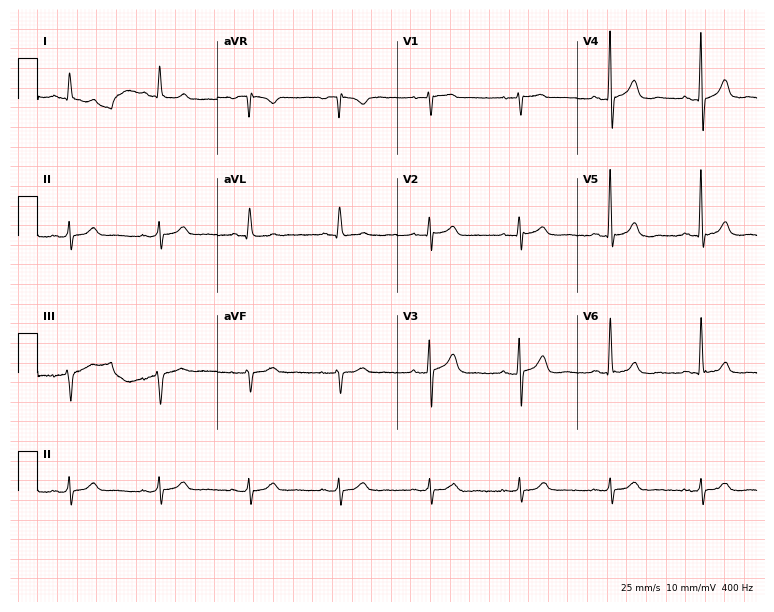
12-lead ECG from a 75-year-old man (7.3-second recording at 400 Hz). Recorded interpretation: within normal limits.